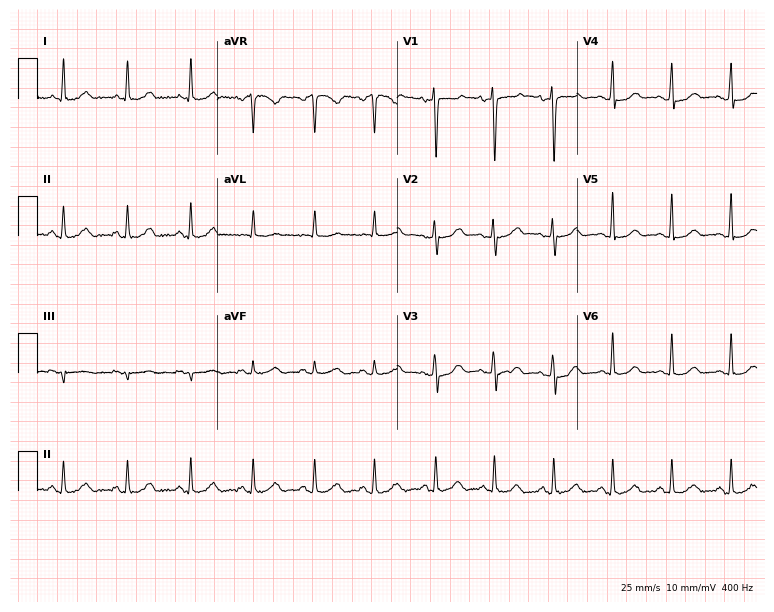
Standard 12-lead ECG recorded from a woman, 47 years old. Read as a normal ECG.